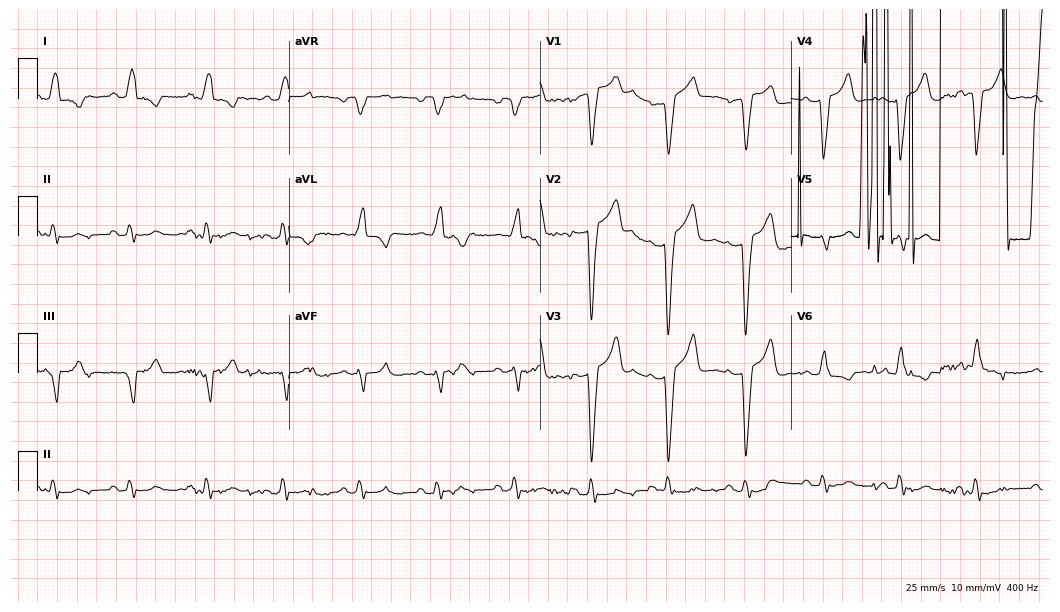
Electrocardiogram (10.2-second recording at 400 Hz), a 54-year-old woman. Of the six screened findings (first-degree AV block, right bundle branch block (RBBB), left bundle branch block (LBBB), sinus bradycardia, atrial fibrillation (AF), sinus tachycardia), none is recorded. Findings outside these six are not listed.